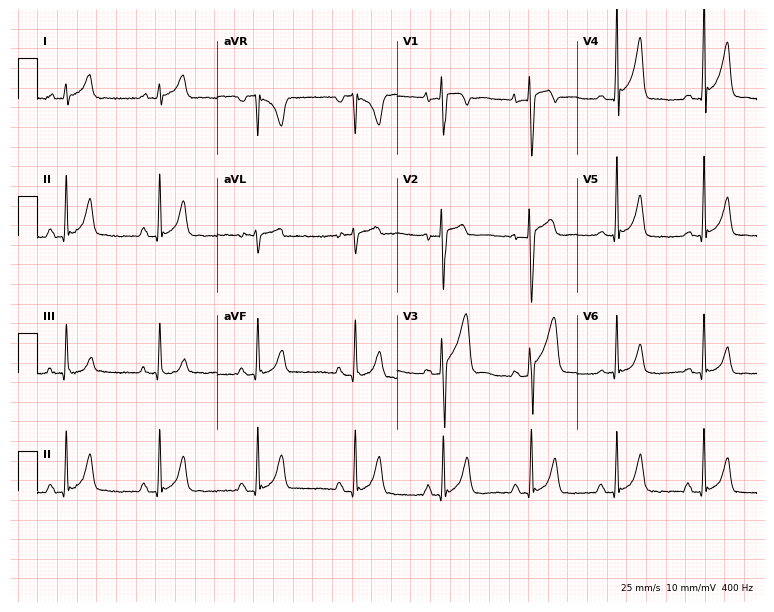
Resting 12-lead electrocardiogram. Patient: a 27-year-old male. None of these six findings is recorded: first-degree AV block, right bundle branch block (RBBB), left bundle branch block (LBBB), sinus bradycardia, atrial fibrillation (AF), sinus tachycardia.